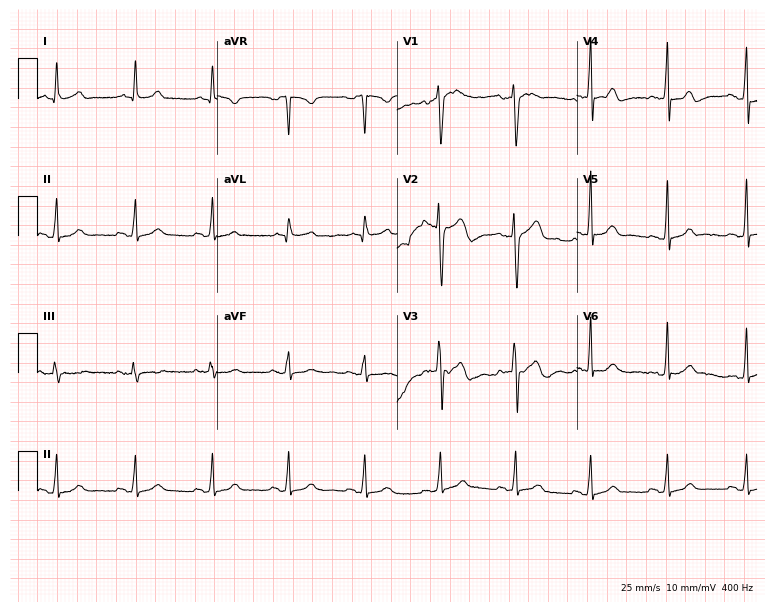
12-lead ECG from a man, 51 years old. Recorded interpretation: within normal limits.